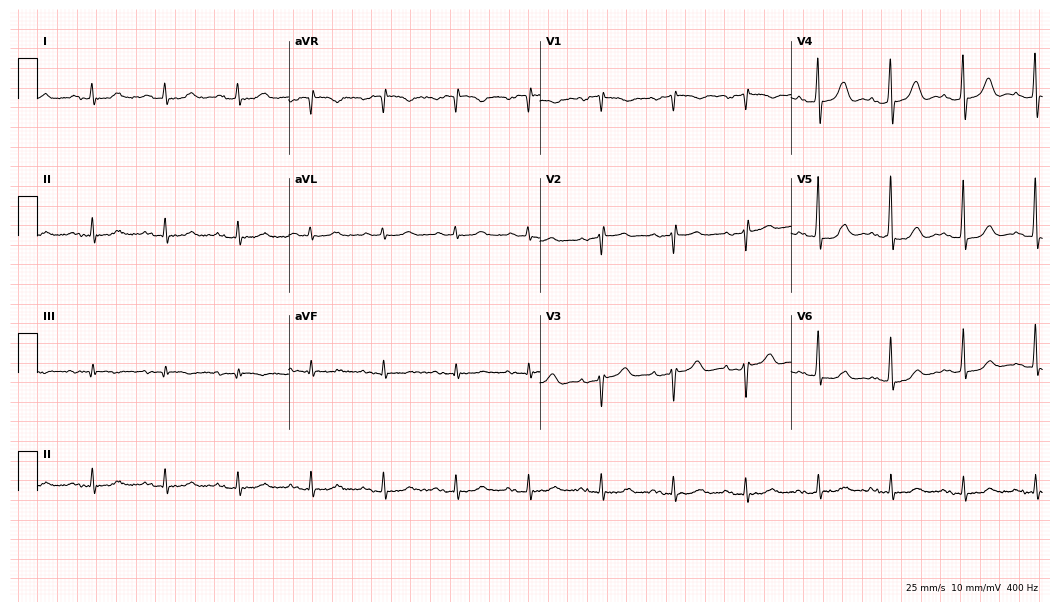
12-lead ECG from a man, 66 years old (10.2-second recording at 400 Hz). Recorded interpretation: within normal limits.